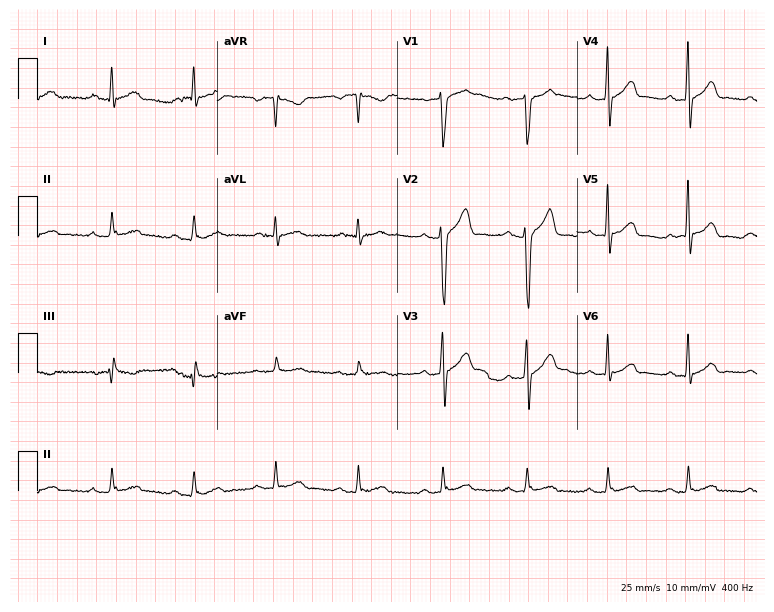
Resting 12-lead electrocardiogram (7.3-second recording at 400 Hz). Patient: a 36-year-old man. Read as a normal ECG.